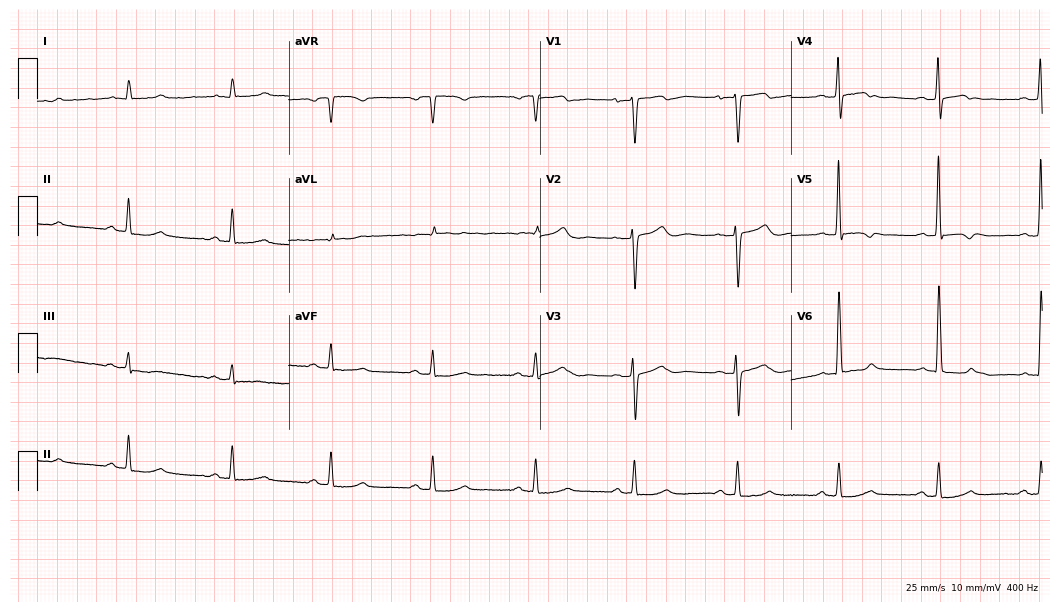
12-lead ECG from a woman, 74 years old. Screened for six findings — first-degree AV block, right bundle branch block, left bundle branch block, sinus bradycardia, atrial fibrillation, sinus tachycardia — none is recorded.